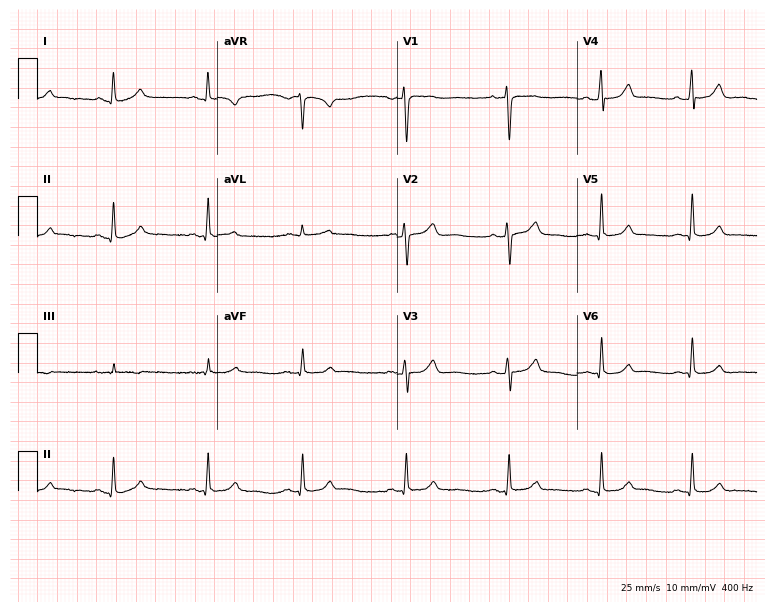
Standard 12-lead ECG recorded from a female, 55 years old. Read as a normal ECG.